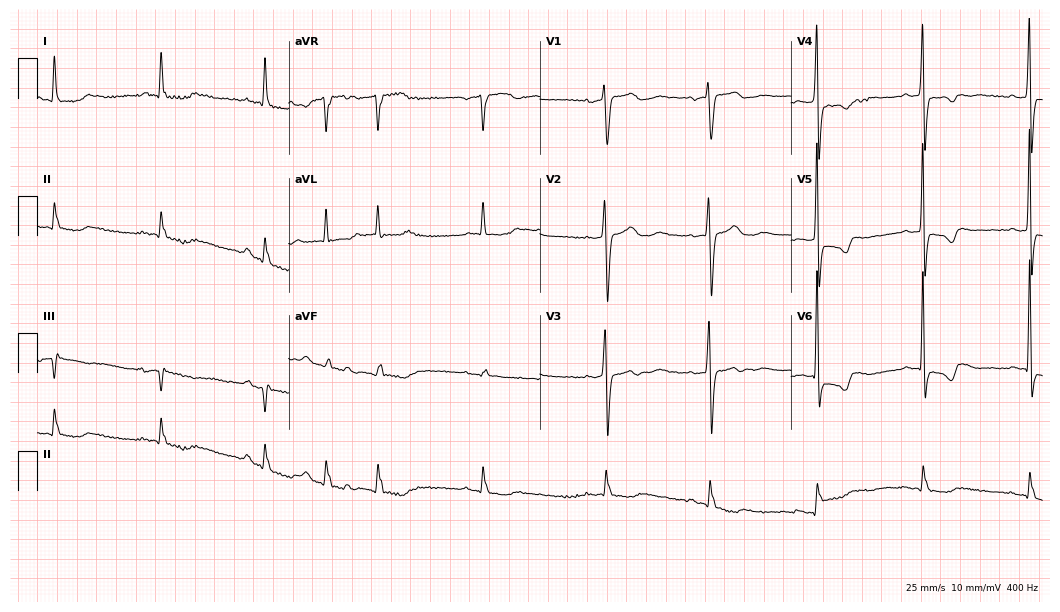
Standard 12-lead ECG recorded from a 63-year-old woman. None of these six findings is recorded: first-degree AV block, right bundle branch block (RBBB), left bundle branch block (LBBB), sinus bradycardia, atrial fibrillation (AF), sinus tachycardia.